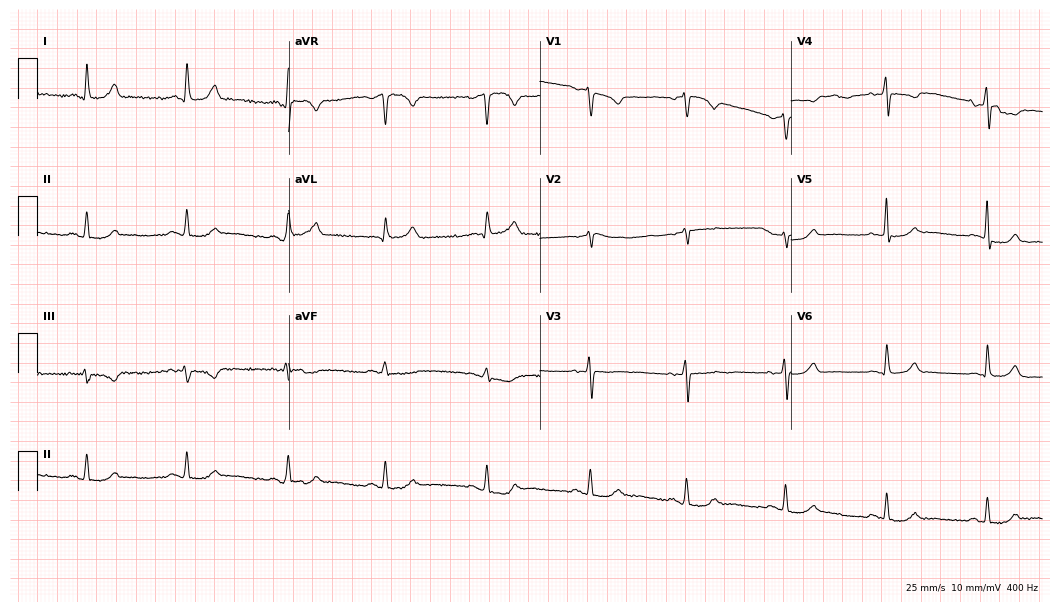
ECG (10.2-second recording at 400 Hz) — a female patient, 70 years old. Screened for six findings — first-degree AV block, right bundle branch block, left bundle branch block, sinus bradycardia, atrial fibrillation, sinus tachycardia — none is recorded. Only these six findings were labelled.